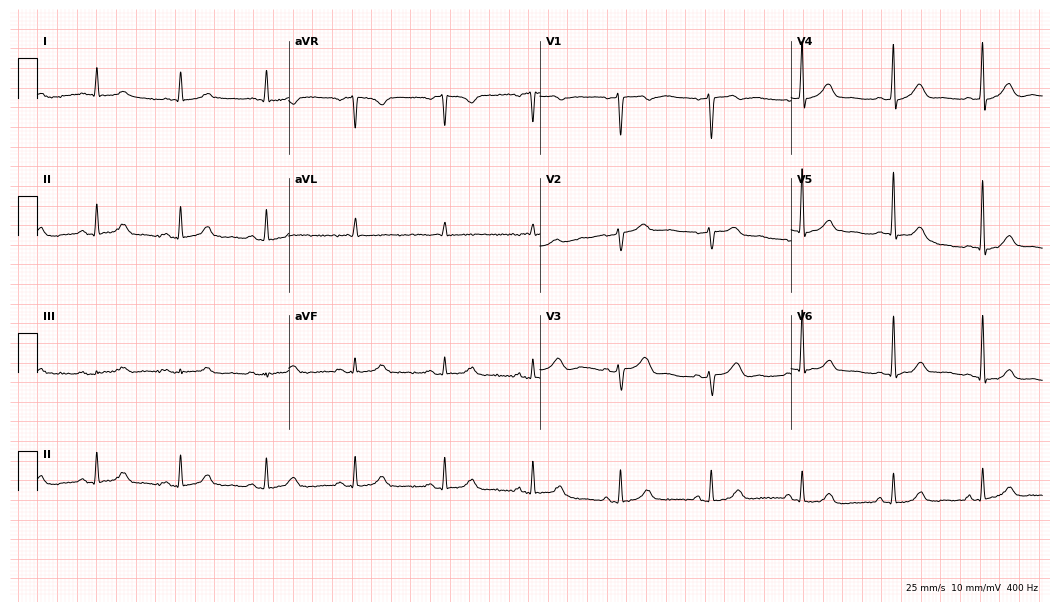
Electrocardiogram, a female, 51 years old. Overall reading on record: normal ECG.